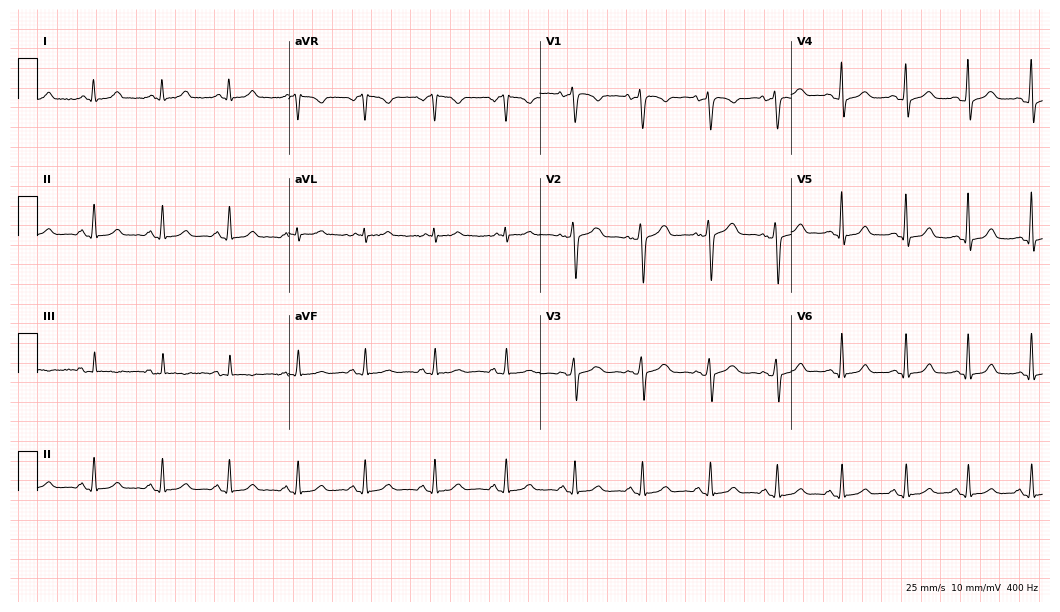
12-lead ECG (10.2-second recording at 400 Hz) from a female, 43 years old. Screened for six findings — first-degree AV block, right bundle branch block (RBBB), left bundle branch block (LBBB), sinus bradycardia, atrial fibrillation (AF), sinus tachycardia — none is recorded. Only these six findings were labelled.